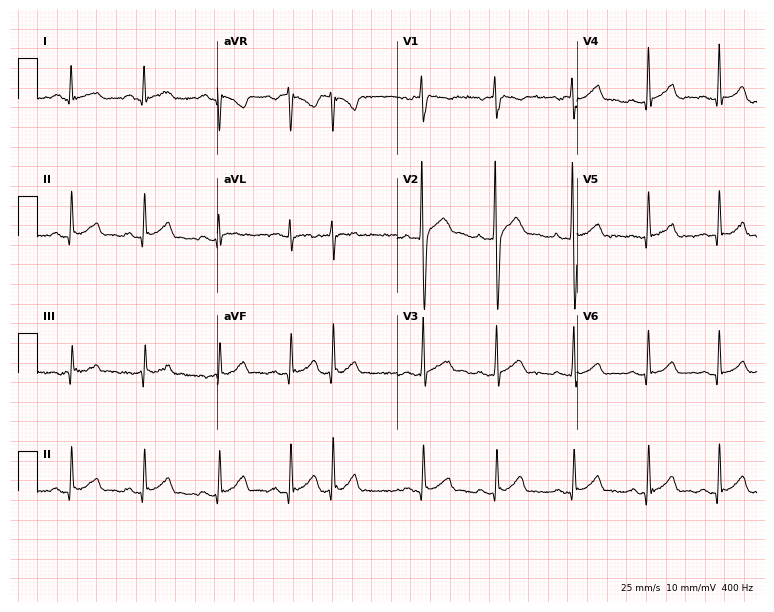
Standard 12-lead ECG recorded from a male patient, 24 years old. None of these six findings is recorded: first-degree AV block, right bundle branch block (RBBB), left bundle branch block (LBBB), sinus bradycardia, atrial fibrillation (AF), sinus tachycardia.